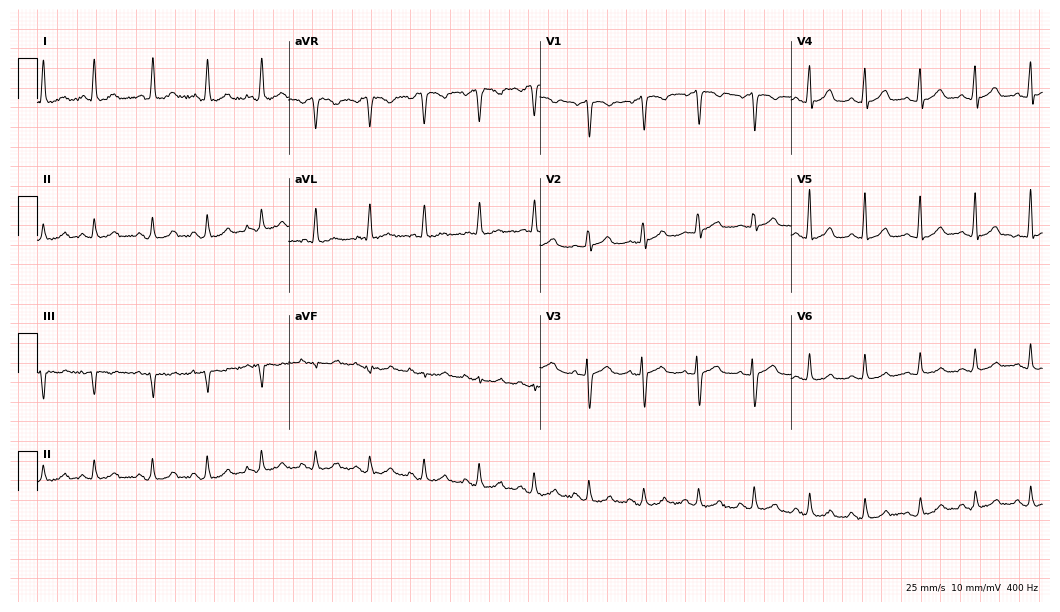
Electrocardiogram (10.2-second recording at 400 Hz), a female, 82 years old. Interpretation includes sinus tachycardia (a sinus rate of 100 beats per minute or more).